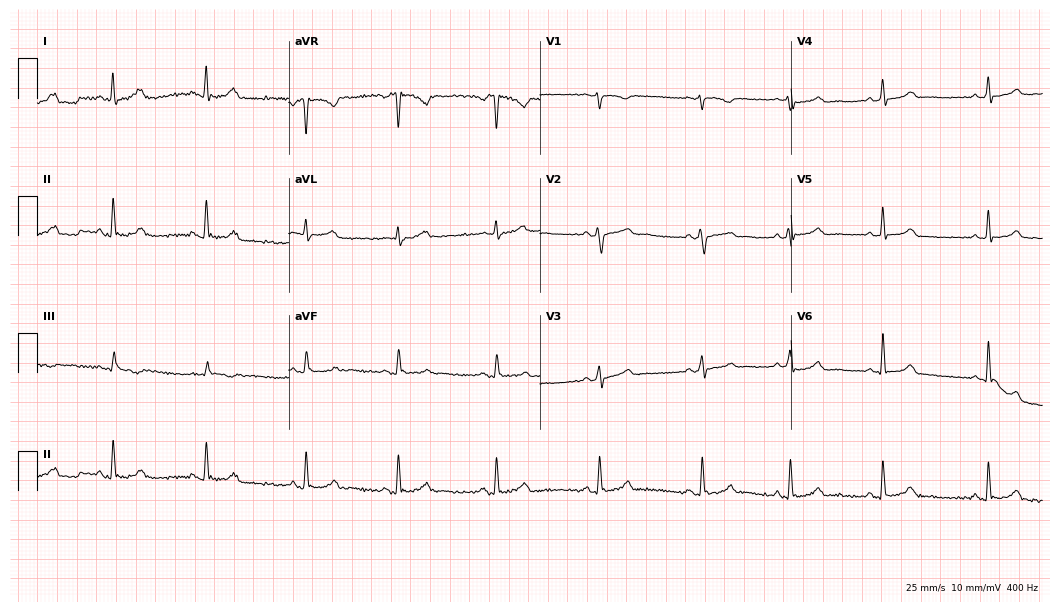
12-lead ECG (10.2-second recording at 400 Hz) from a female patient, 40 years old. Labelled as a normal ECG.